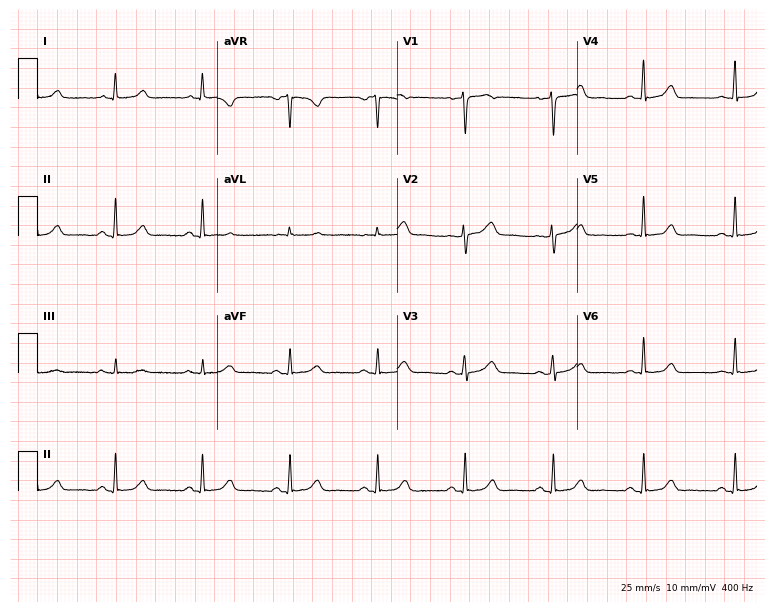
Standard 12-lead ECG recorded from a 52-year-old woman (7.3-second recording at 400 Hz). Read as a normal ECG.